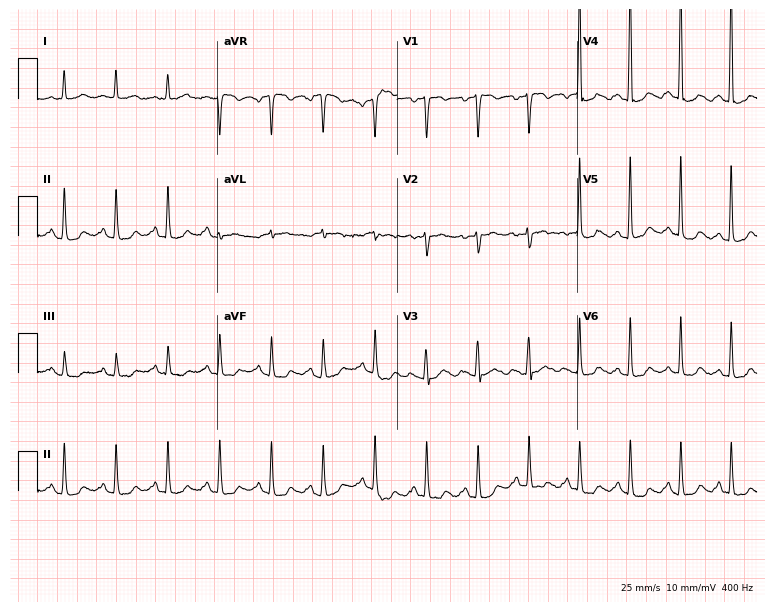
12-lead ECG from a 55-year-old female patient. Shows sinus tachycardia (a sinus rate of 100 beats per minute or more).